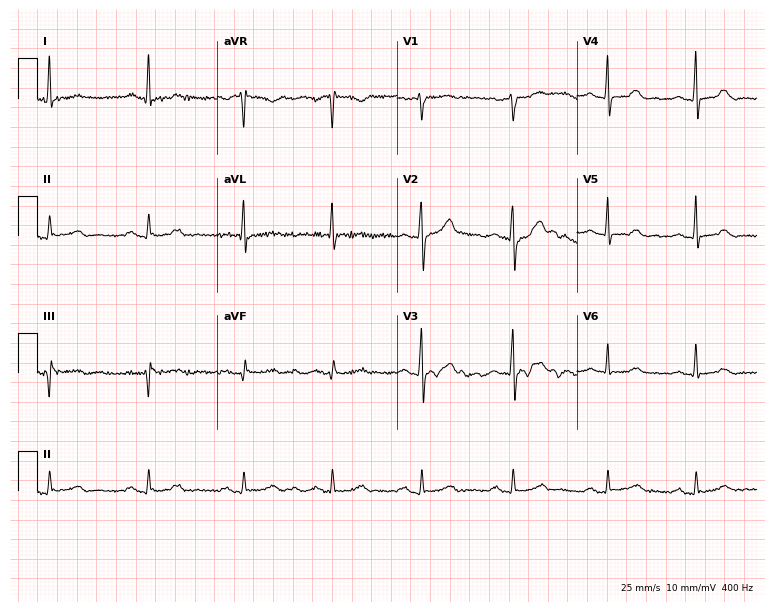
Electrocardiogram (7.3-second recording at 400 Hz), a 46-year-old man. Of the six screened findings (first-degree AV block, right bundle branch block, left bundle branch block, sinus bradycardia, atrial fibrillation, sinus tachycardia), none is recorded. Other findings, if any, are not listed.